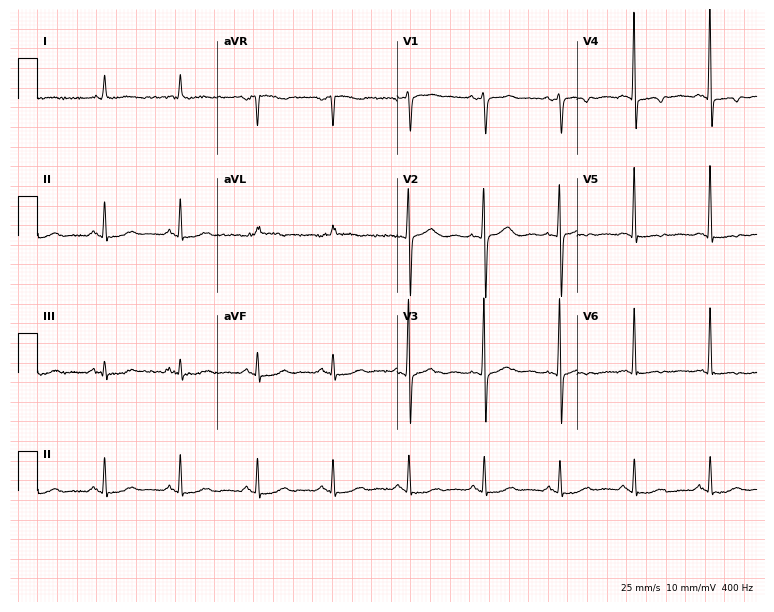
12-lead ECG from a female, 82 years old. No first-degree AV block, right bundle branch block, left bundle branch block, sinus bradycardia, atrial fibrillation or sinus tachycardia recorded for this tracing. Only these six findings were labelled.